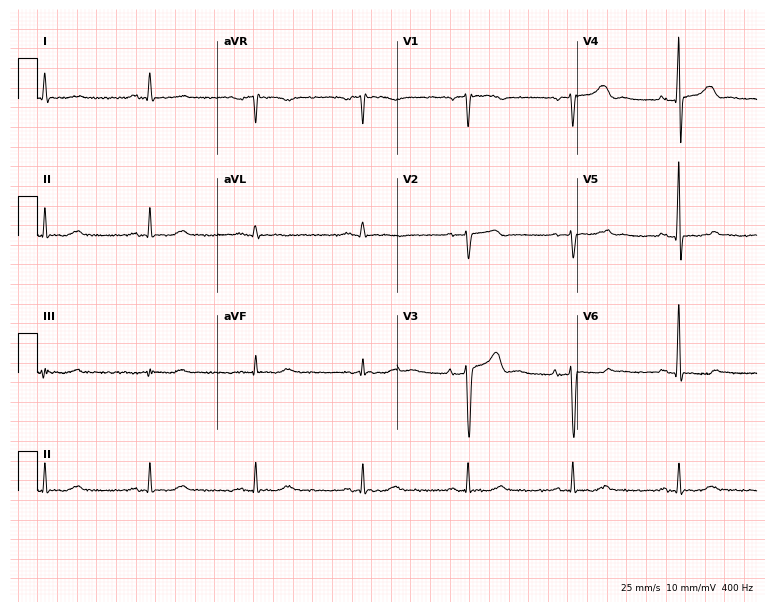
12-lead ECG from a 59-year-old man. No first-degree AV block, right bundle branch block (RBBB), left bundle branch block (LBBB), sinus bradycardia, atrial fibrillation (AF) or sinus tachycardia recorded for this tracing. Findings outside these six are not listed.